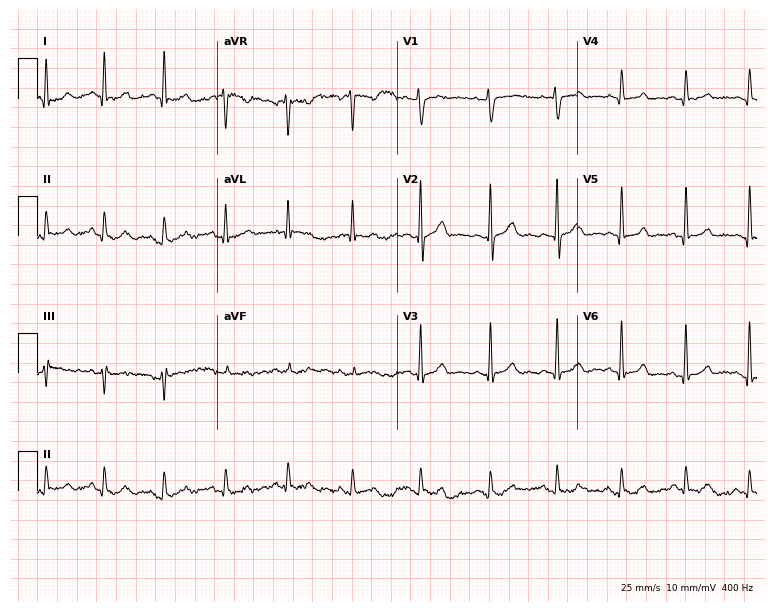
Standard 12-lead ECG recorded from a male, 57 years old. Read as a normal ECG.